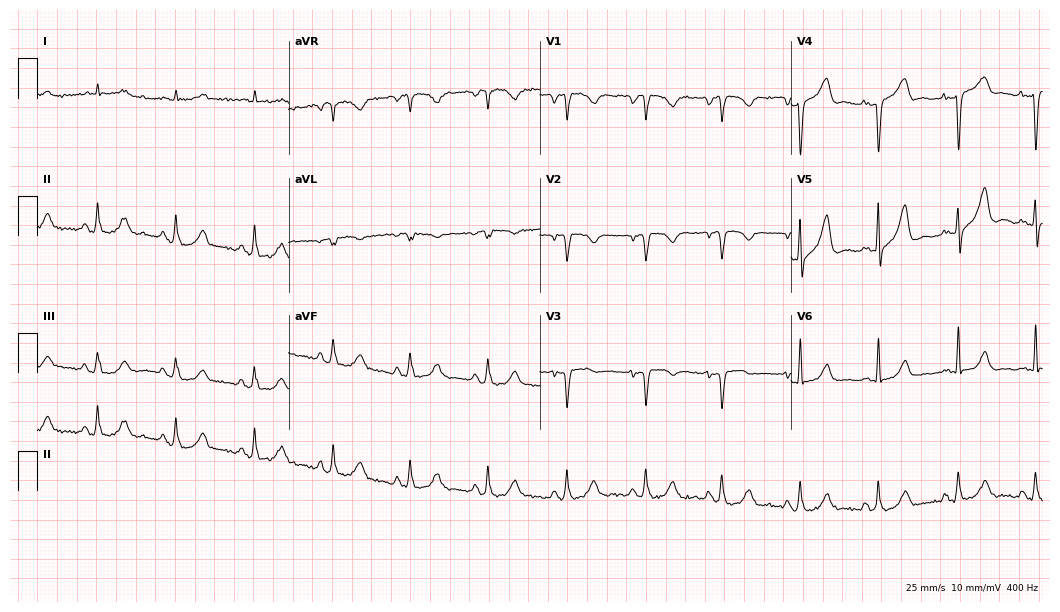
ECG (10.2-second recording at 400 Hz) — a 78-year-old man. Screened for six findings — first-degree AV block, right bundle branch block (RBBB), left bundle branch block (LBBB), sinus bradycardia, atrial fibrillation (AF), sinus tachycardia — none is recorded. Other findings, if any, are not listed.